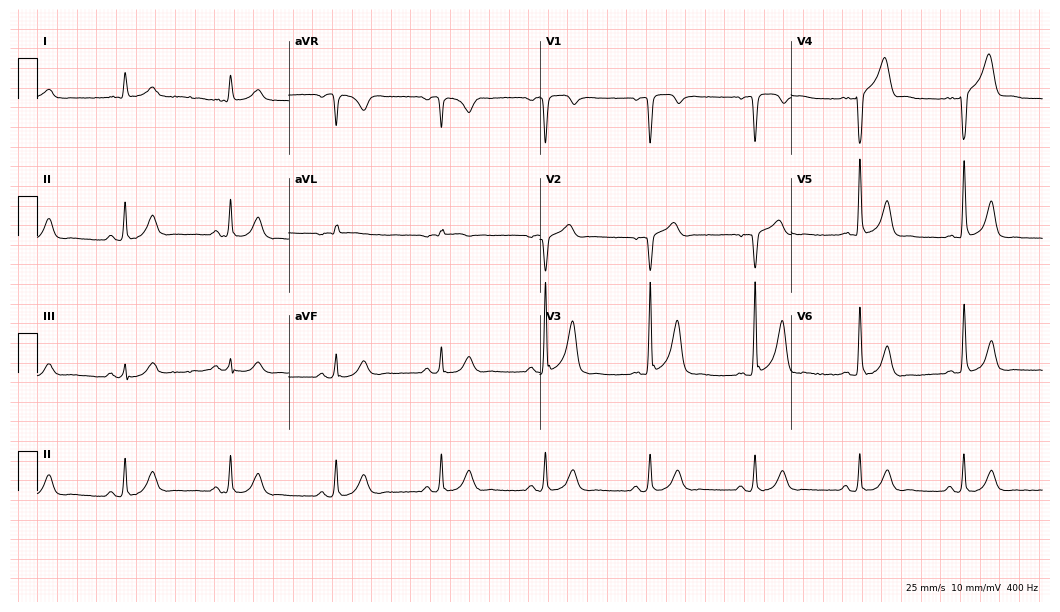
12-lead ECG from a 76-year-old man. Screened for six findings — first-degree AV block, right bundle branch block, left bundle branch block, sinus bradycardia, atrial fibrillation, sinus tachycardia — none is recorded.